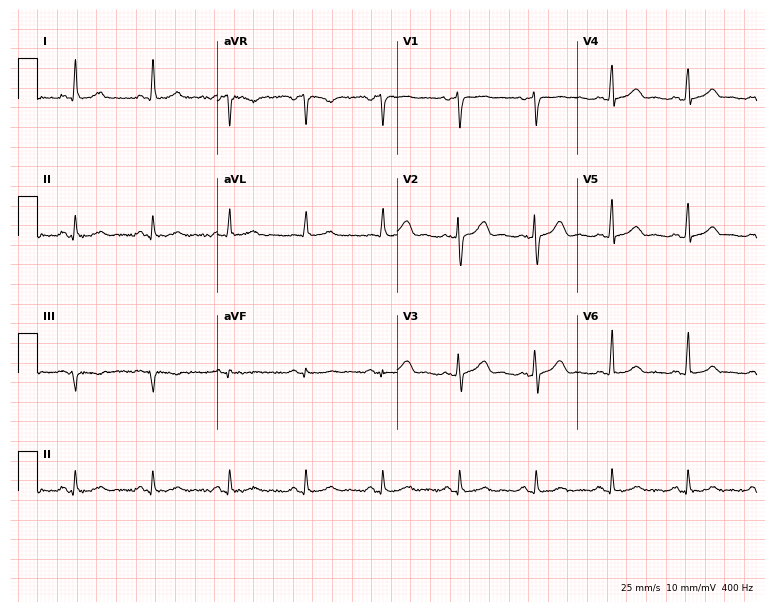
ECG — a 51-year-old woman. Screened for six findings — first-degree AV block, right bundle branch block, left bundle branch block, sinus bradycardia, atrial fibrillation, sinus tachycardia — none is recorded.